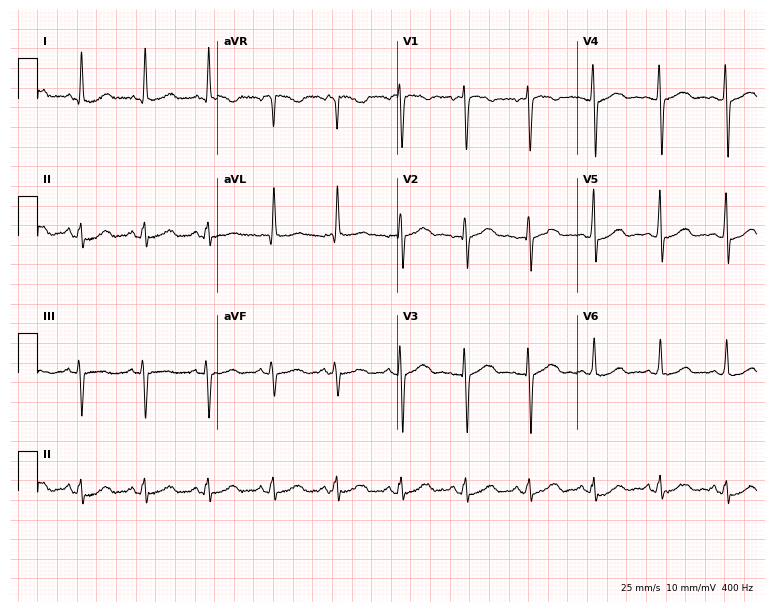
ECG — a woman, 63 years old. Screened for six findings — first-degree AV block, right bundle branch block, left bundle branch block, sinus bradycardia, atrial fibrillation, sinus tachycardia — none is recorded. Other findings, if any, are not listed.